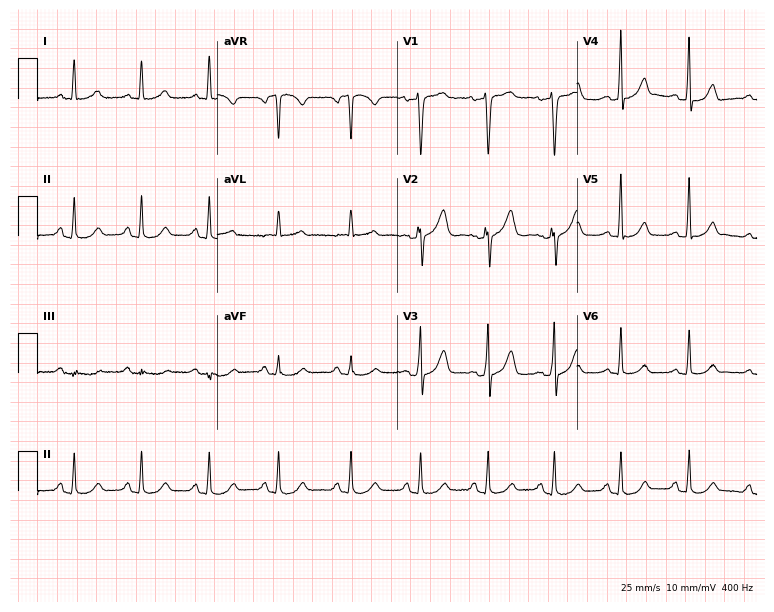
ECG (7.3-second recording at 400 Hz) — a female patient, 54 years old. Screened for six findings — first-degree AV block, right bundle branch block, left bundle branch block, sinus bradycardia, atrial fibrillation, sinus tachycardia — none is recorded. Only these six findings were labelled.